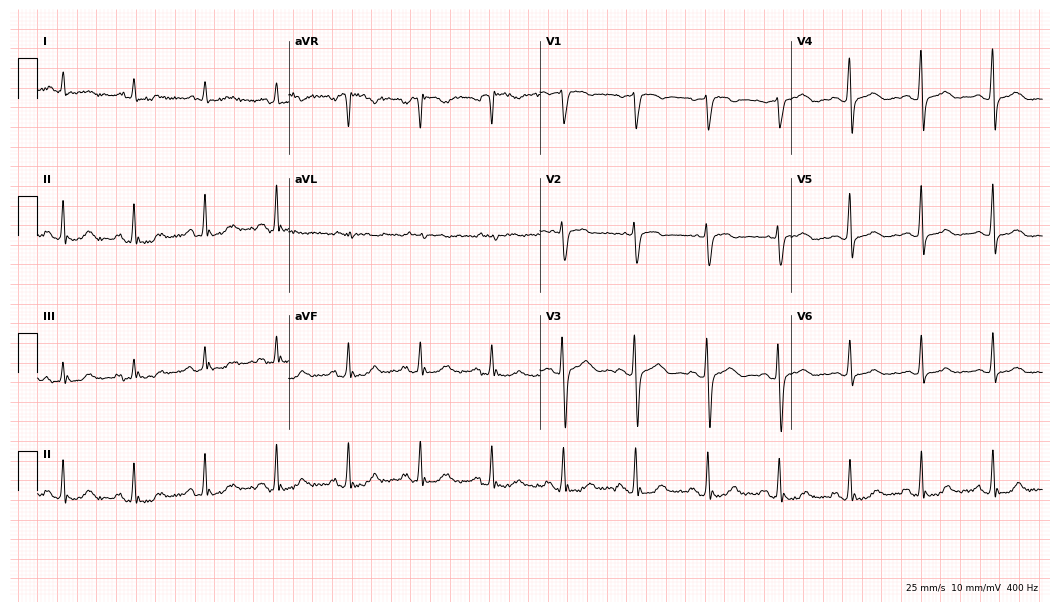
12-lead ECG (10.2-second recording at 400 Hz) from a man, 71 years old. Labelled as a normal ECG.